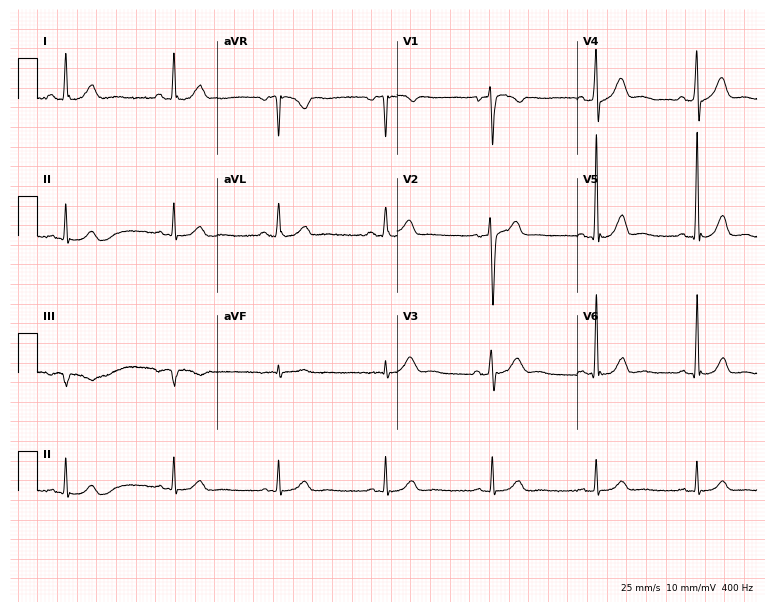
Electrocardiogram, a 56-year-old male. Overall reading on record: normal ECG.